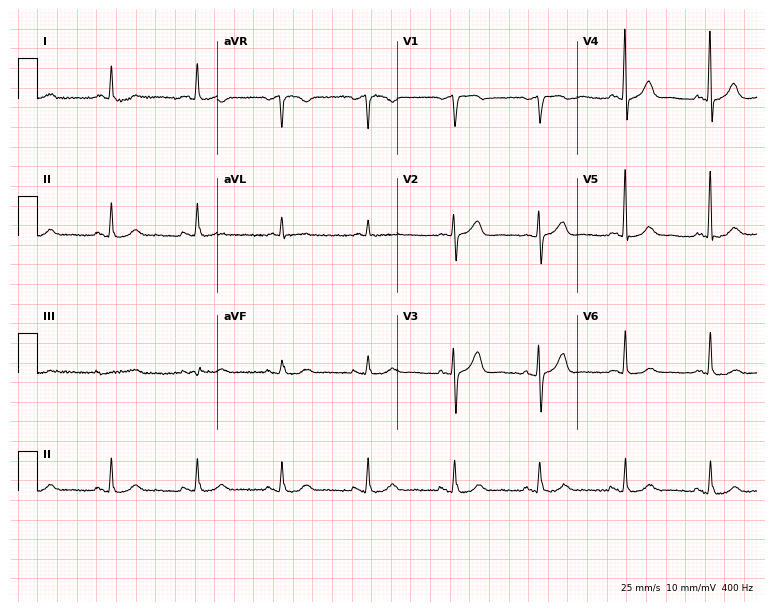
Electrocardiogram (7.3-second recording at 400 Hz), an 82-year-old man. Of the six screened findings (first-degree AV block, right bundle branch block, left bundle branch block, sinus bradycardia, atrial fibrillation, sinus tachycardia), none is recorded. Other findings, if any, are not listed.